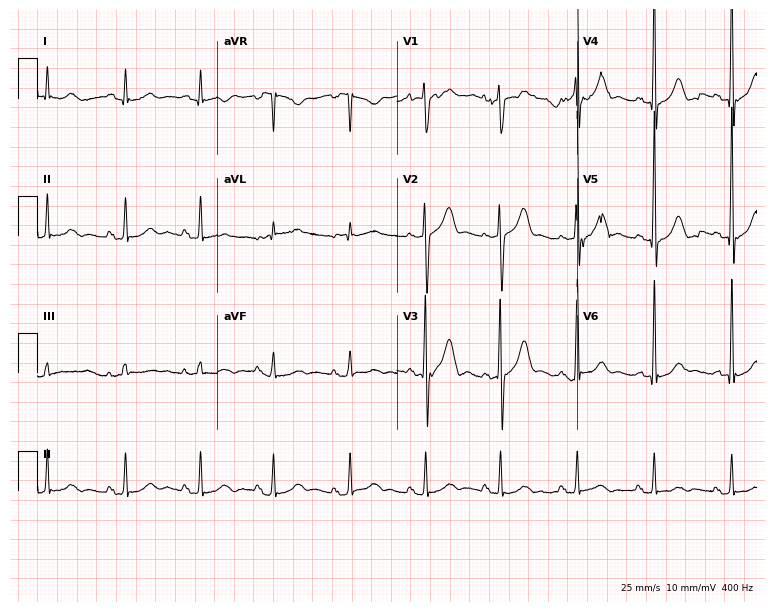
Electrocardiogram (7.3-second recording at 400 Hz), a man, 69 years old. Overall reading on record: normal ECG.